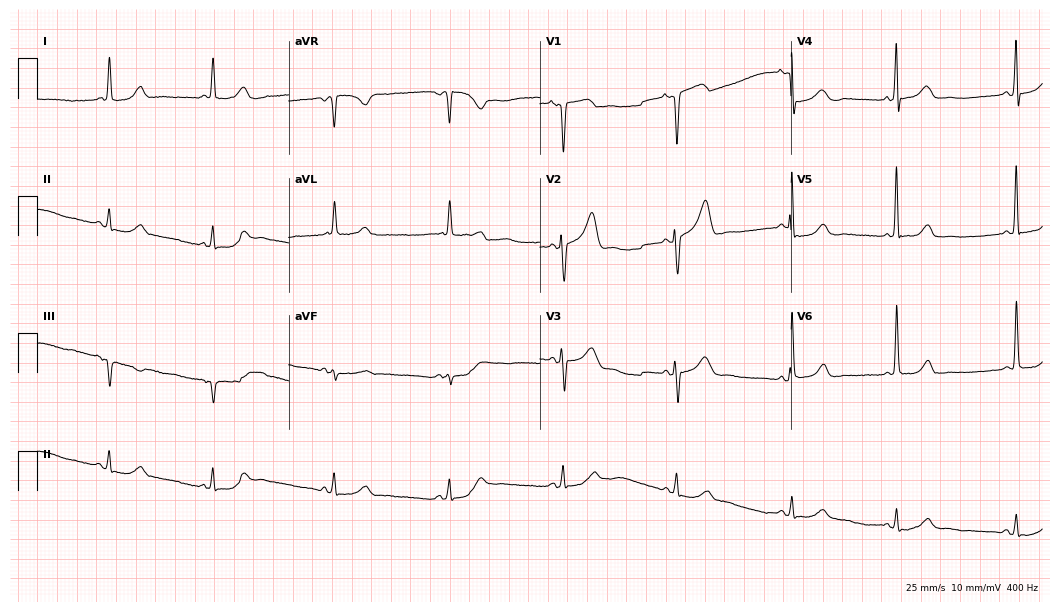
Electrocardiogram (10.2-second recording at 400 Hz), a female, 76 years old. Overall reading on record: normal ECG.